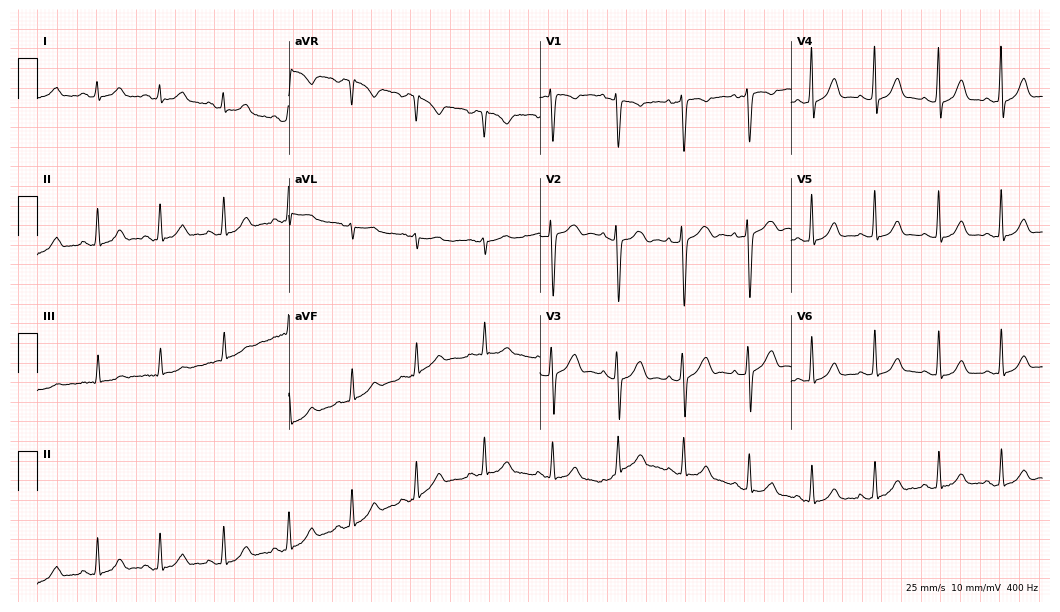
ECG — a 19-year-old female patient. Labelled as a normal ECG.